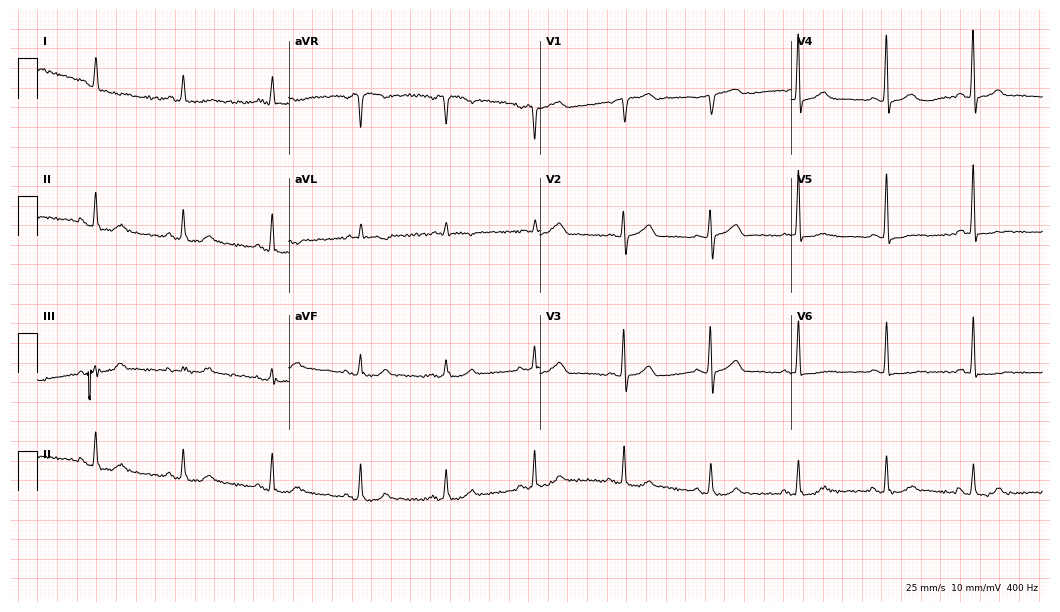
Standard 12-lead ECG recorded from an 87-year-old male patient. Read as a normal ECG.